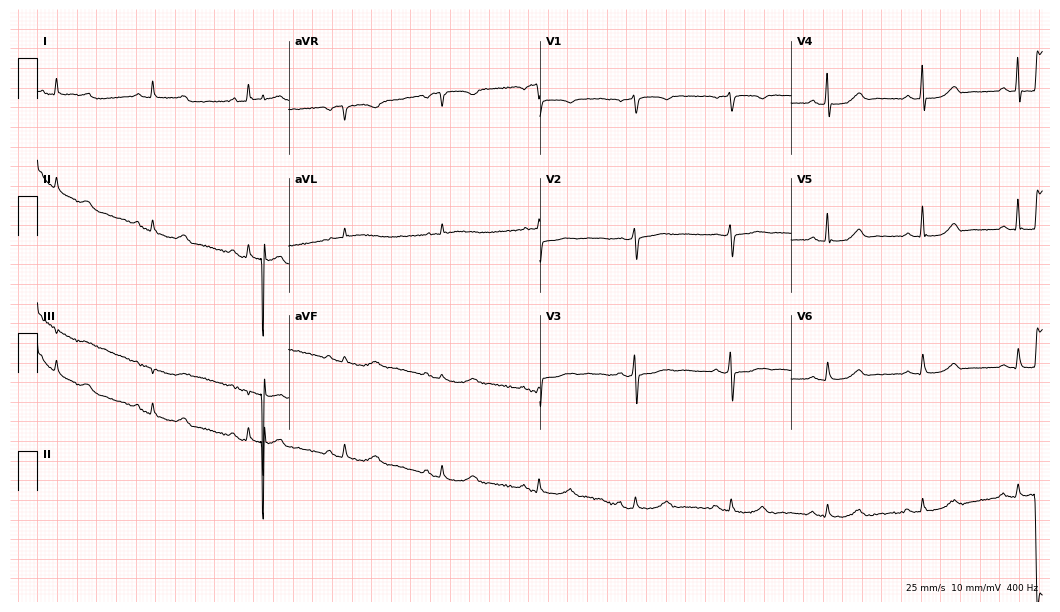
12-lead ECG (10.2-second recording at 400 Hz) from a 70-year-old woman. Screened for six findings — first-degree AV block, right bundle branch block, left bundle branch block, sinus bradycardia, atrial fibrillation, sinus tachycardia — none is recorded.